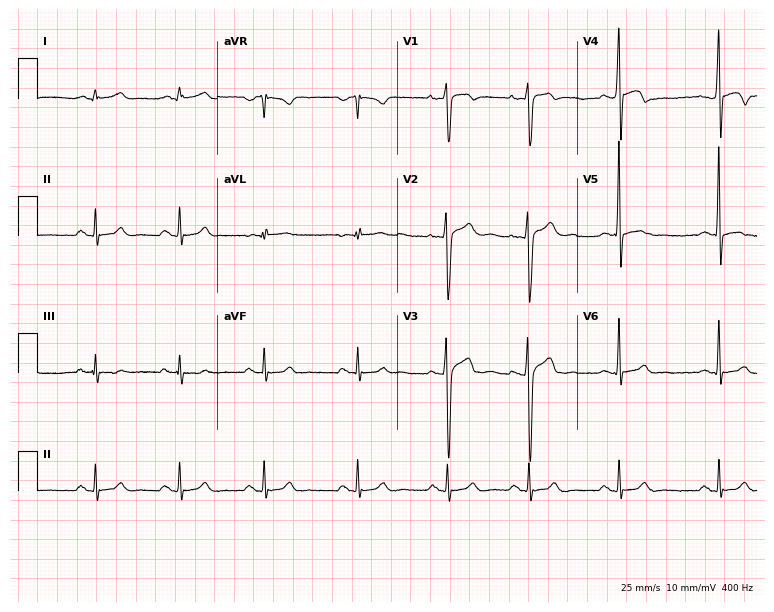
Resting 12-lead electrocardiogram (7.3-second recording at 400 Hz). Patient: a 19-year-old male. Read as a normal ECG.